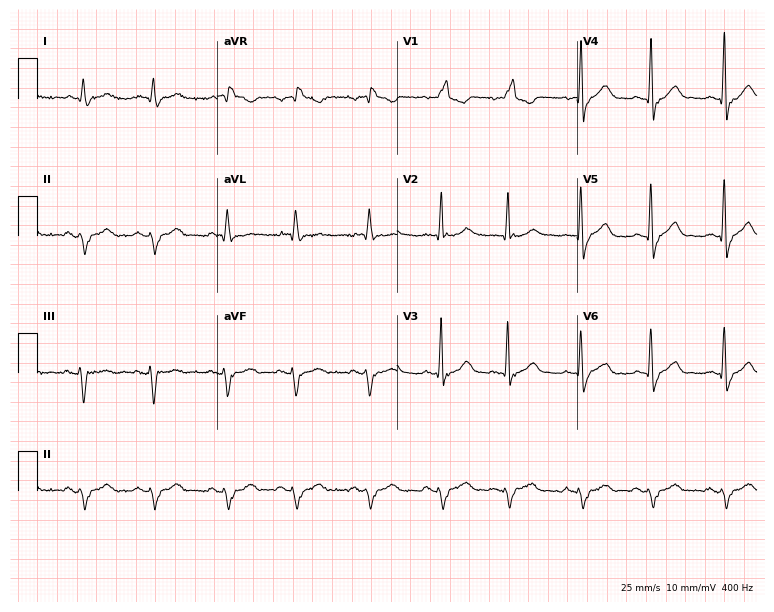
Electrocardiogram, a 72-year-old male patient. Interpretation includes right bundle branch block.